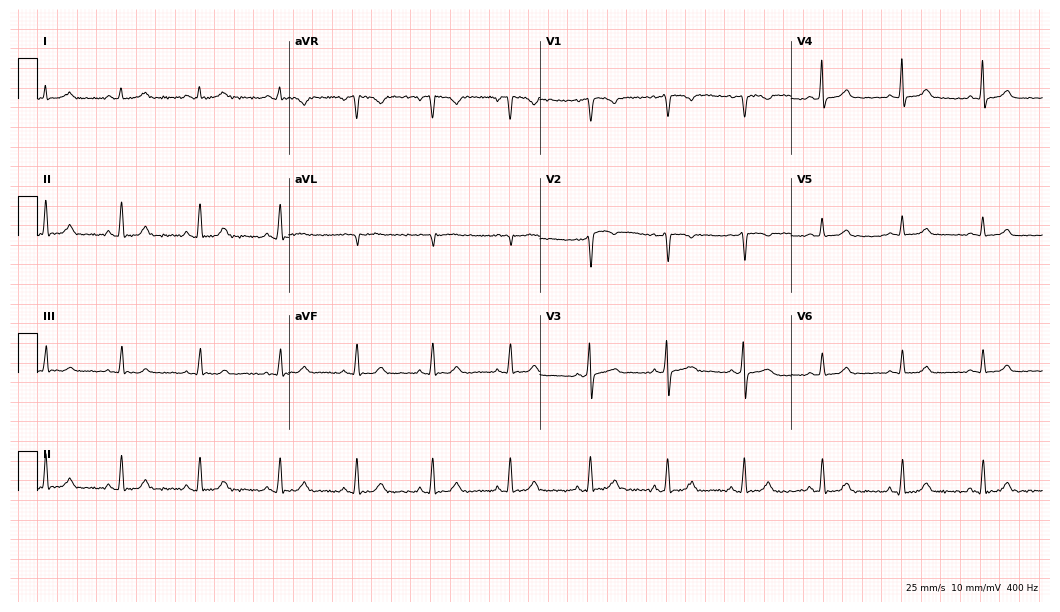
Electrocardiogram (10.2-second recording at 400 Hz), a woman, 52 years old. Overall reading on record: normal ECG.